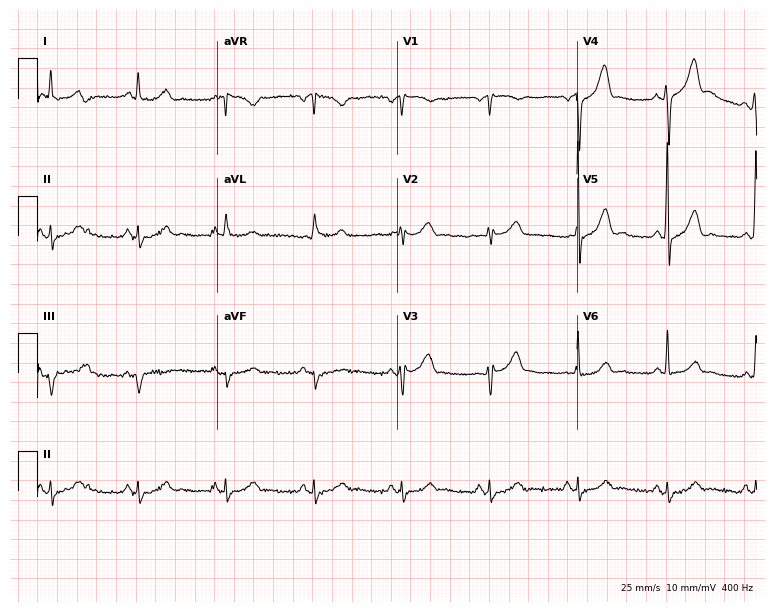
12-lead ECG from a 64-year-old male patient. No first-degree AV block, right bundle branch block (RBBB), left bundle branch block (LBBB), sinus bradycardia, atrial fibrillation (AF) or sinus tachycardia recorded for this tracing. Only these six findings were labelled.